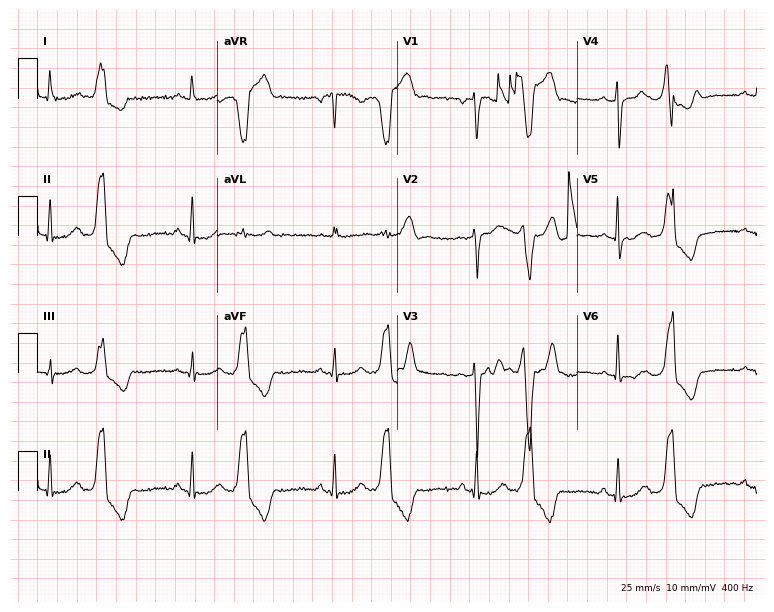
Standard 12-lead ECG recorded from a man, 57 years old (7.3-second recording at 400 Hz). None of these six findings is recorded: first-degree AV block, right bundle branch block, left bundle branch block, sinus bradycardia, atrial fibrillation, sinus tachycardia.